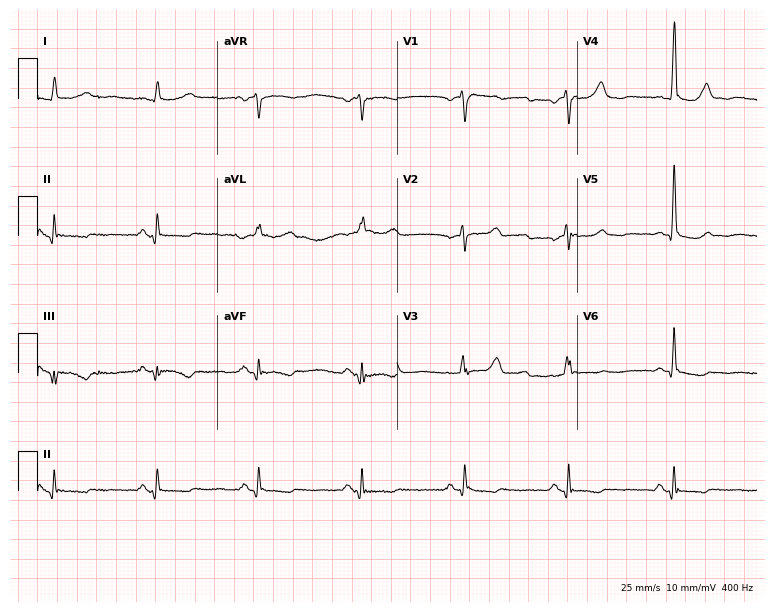
12-lead ECG from a male patient, 67 years old (7.3-second recording at 400 Hz). No first-degree AV block, right bundle branch block (RBBB), left bundle branch block (LBBB), sinus bradycardia, atrial fibrillation (AF) or sinus tachycardia recorded for this tracing.